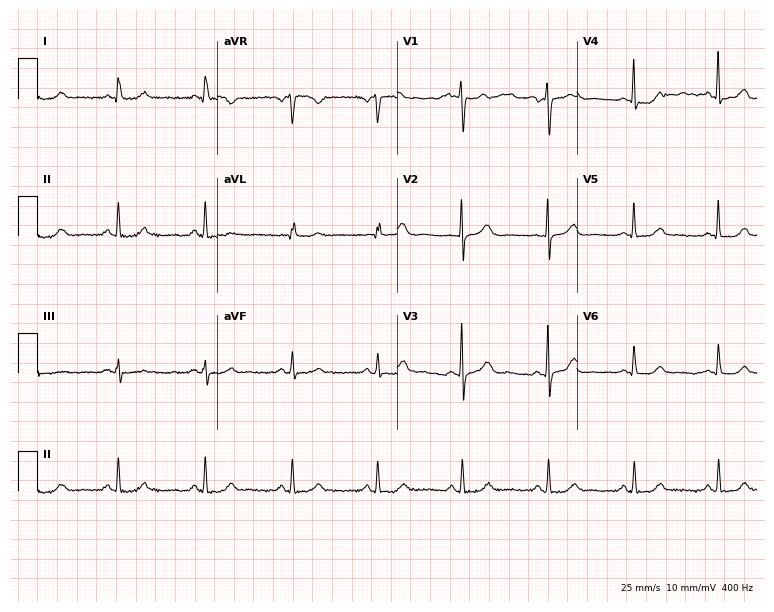
12-lead ECG from a 67-year-old female. Recorded interpretation: within normal limits.